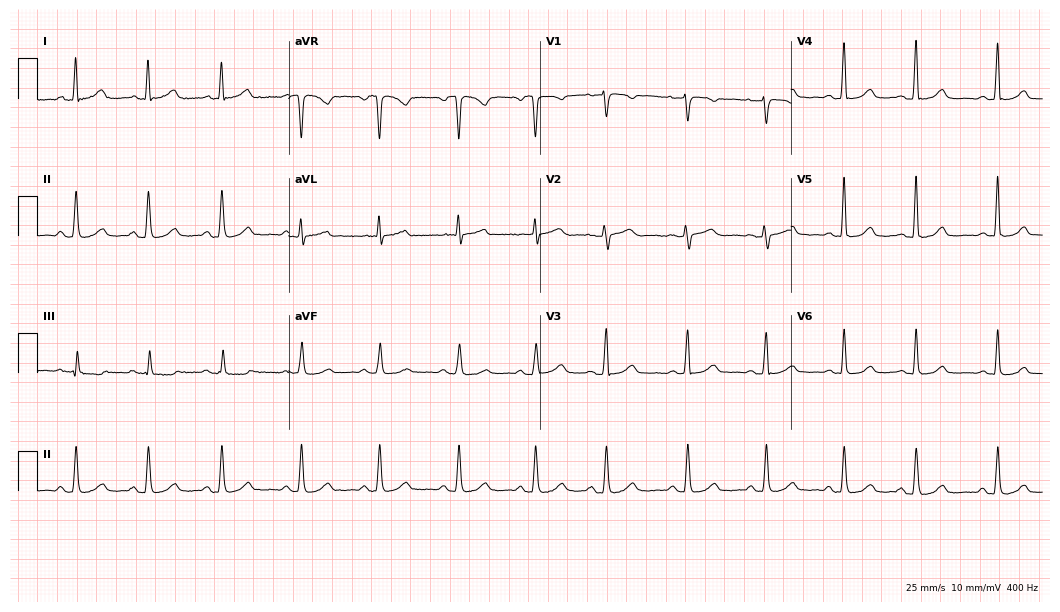
Electrocardiogram, a woman, 63 years old. Overall reading on record: normal ECG.